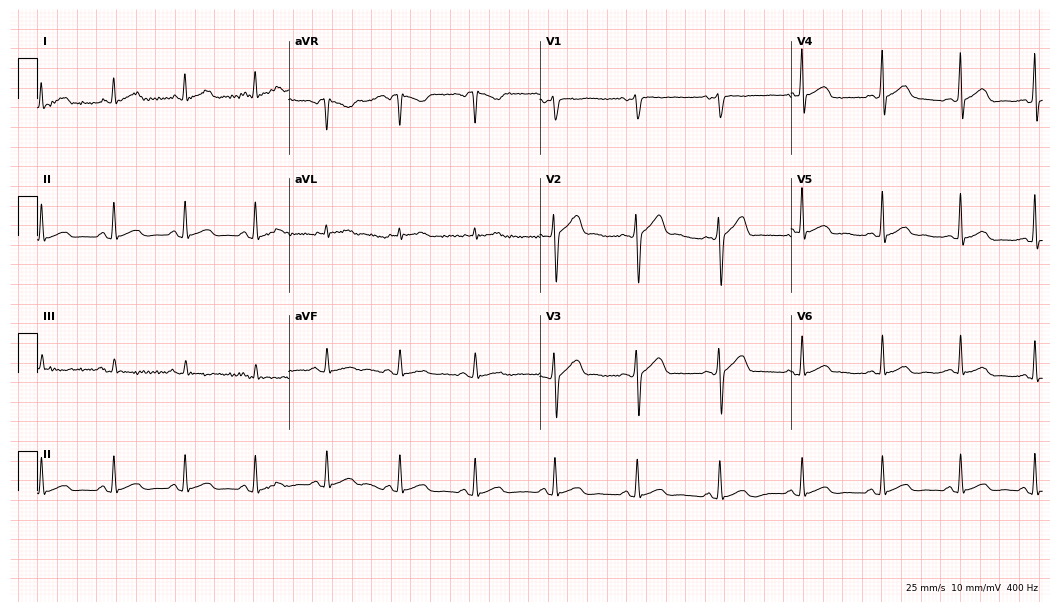
Resting 12-lead electrocardiogram (10.2-second recording at 400 Hz). Patient: a 36-year-old male. Read as a normal ECG.